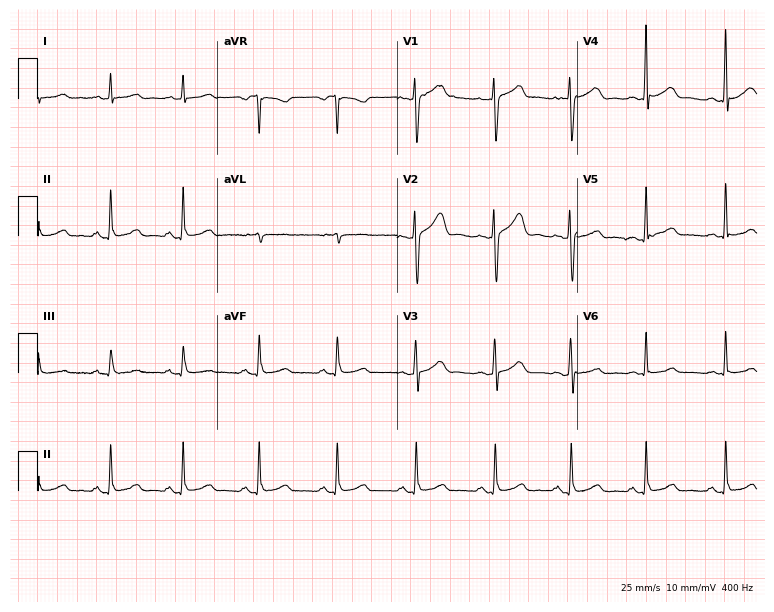
Electrocardiogram (7.3-second recording at 400 Hz), a 40-year-old female. Overall reading on record: normal ECG.